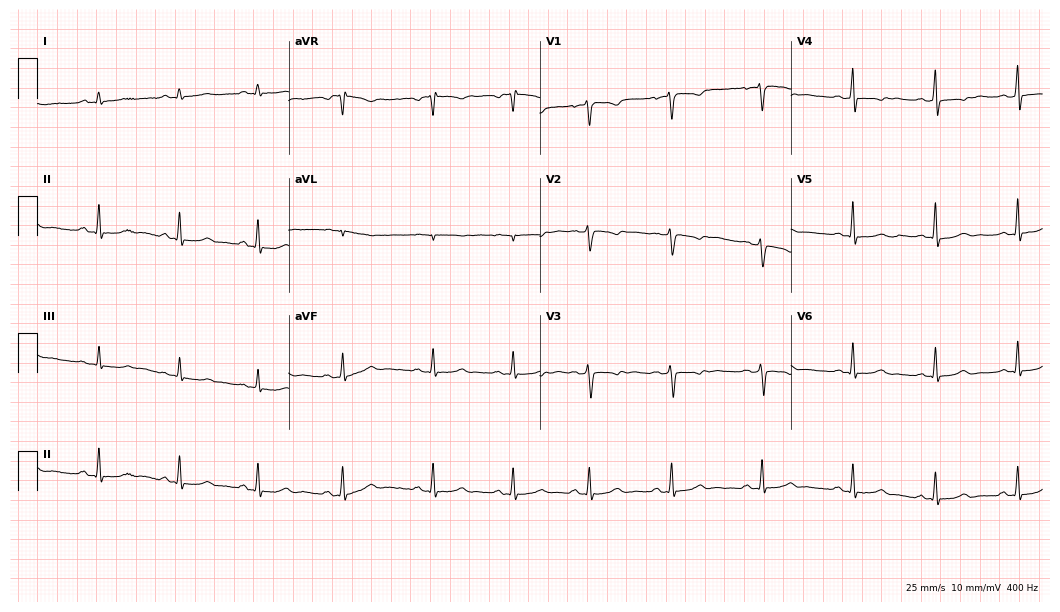
12-lead ECG (10.2-second recording at 400 Hz) from a 20-year-old female. Screened for six findings — first-degree AV block, right bundle branch block, left bundle branch block, sinus bradycardia, atrial fibrillation, sinus tachycardia — none is recorded. Findings outside these six are not listed.